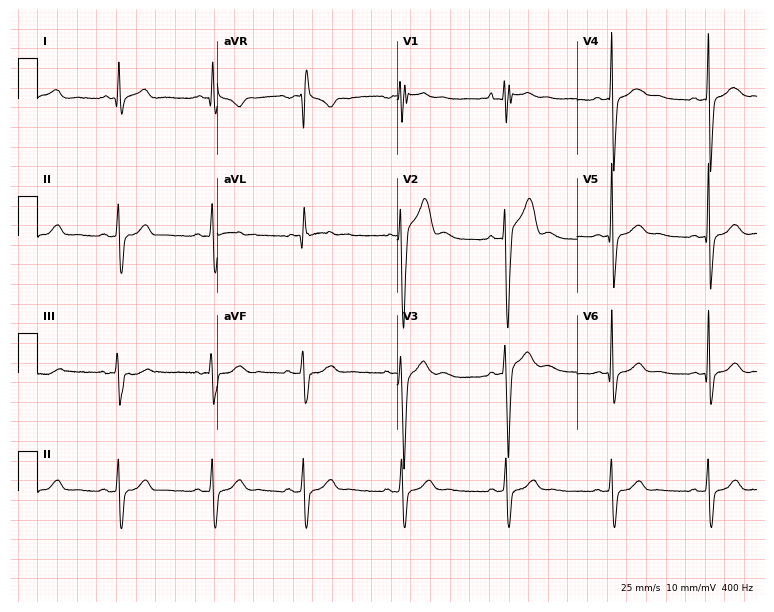
Electrocardiogram (7.3-second recording at 400 Hz), a 29-year-old male. Of the six screened findings (first-degree AV block, right bundle branch block, left bundle branch block, sinus bradycardia, atrial fibrillation, sinus tachycardia), none is recorded.